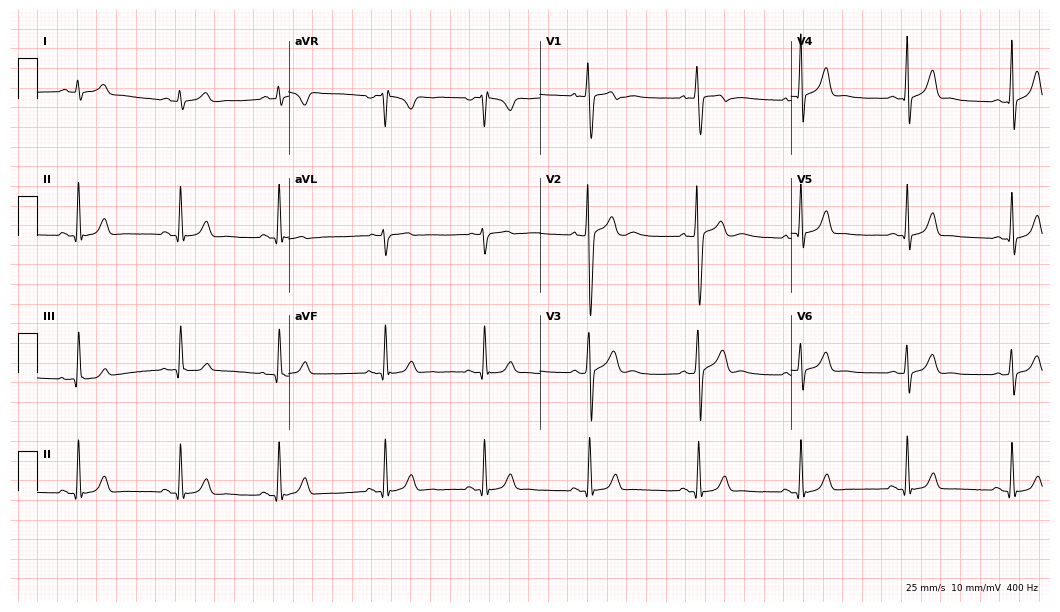
Standard 12-lead ECG recorded from a man, 19 years old. Read as a normal ECG.